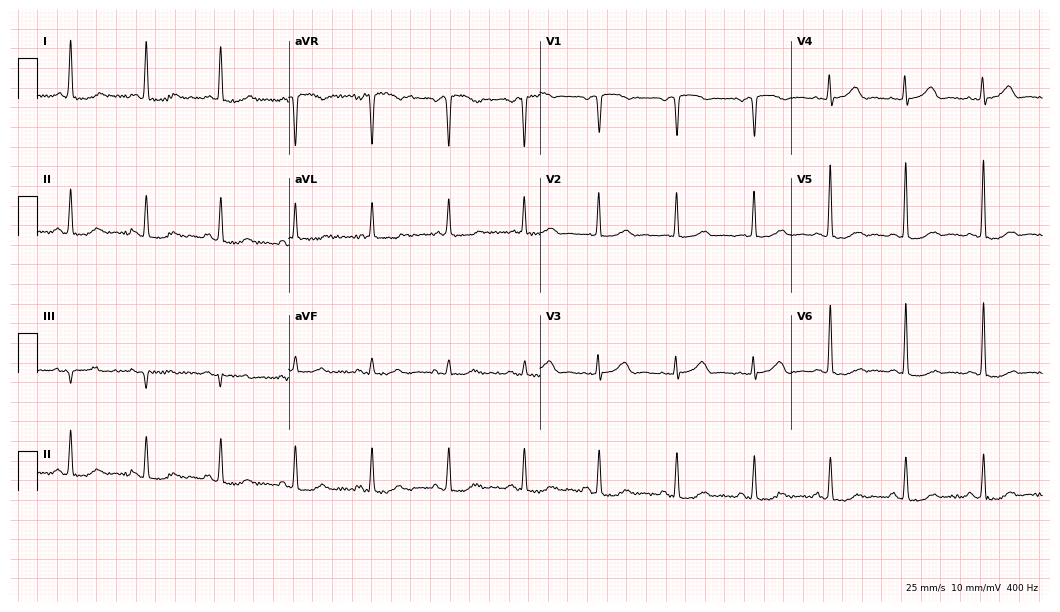
12-lead ECG from a female patient, 78 years old (10.2-second recording at 400 Hz). No first-degree AV block, right bundle branch block (RBBB), left bundle branch block (LBBB), sinus bradycardia, atrial fibrillation (AF) or sinus tachycardia recorded for this tracing. Other findings, if any, are not listed.